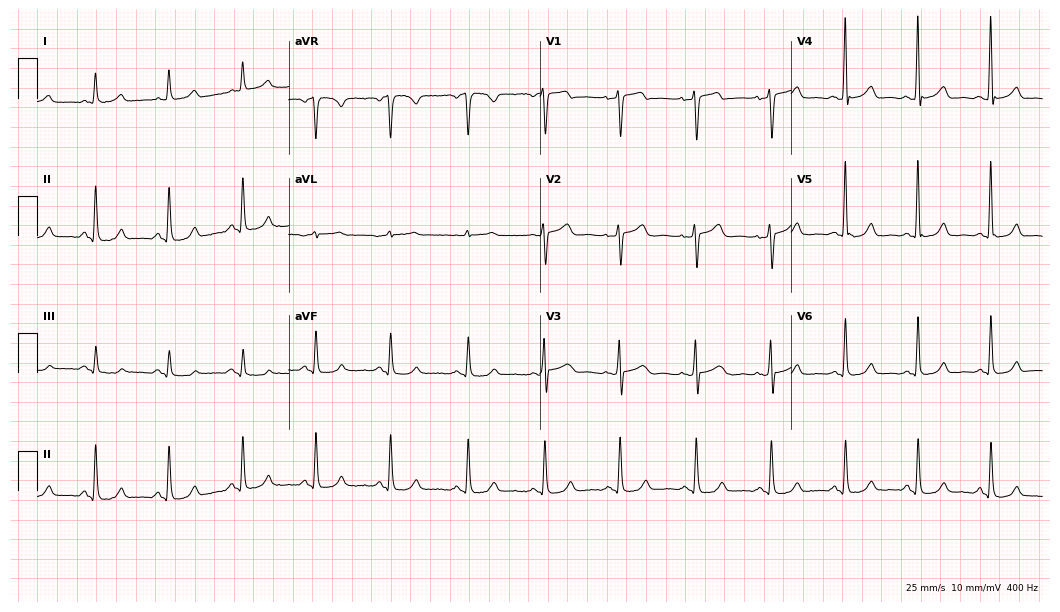
Standard 12-lead ECG recorded from a 61-year-old woman (10.2-second recording at 400 Hz). Read as a normal ECG.